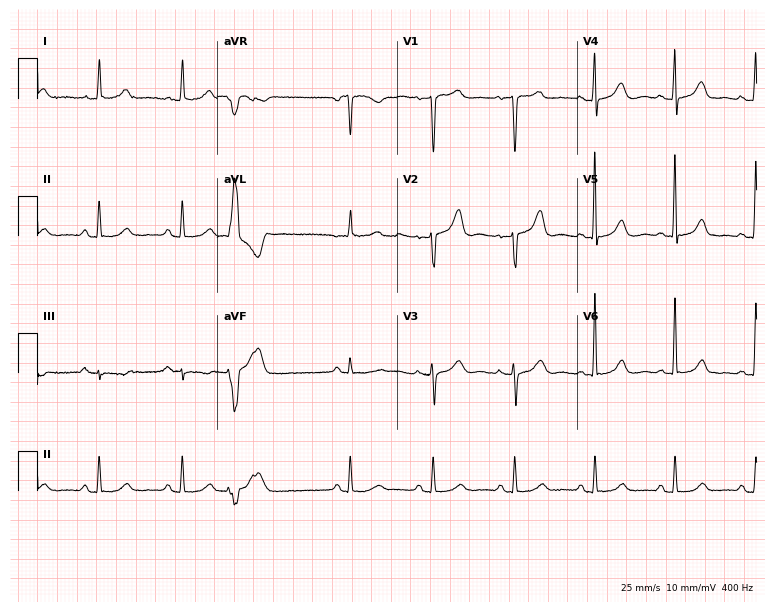
12-lead ECG from an 85-year-old female. Labelled as a normal ECG.